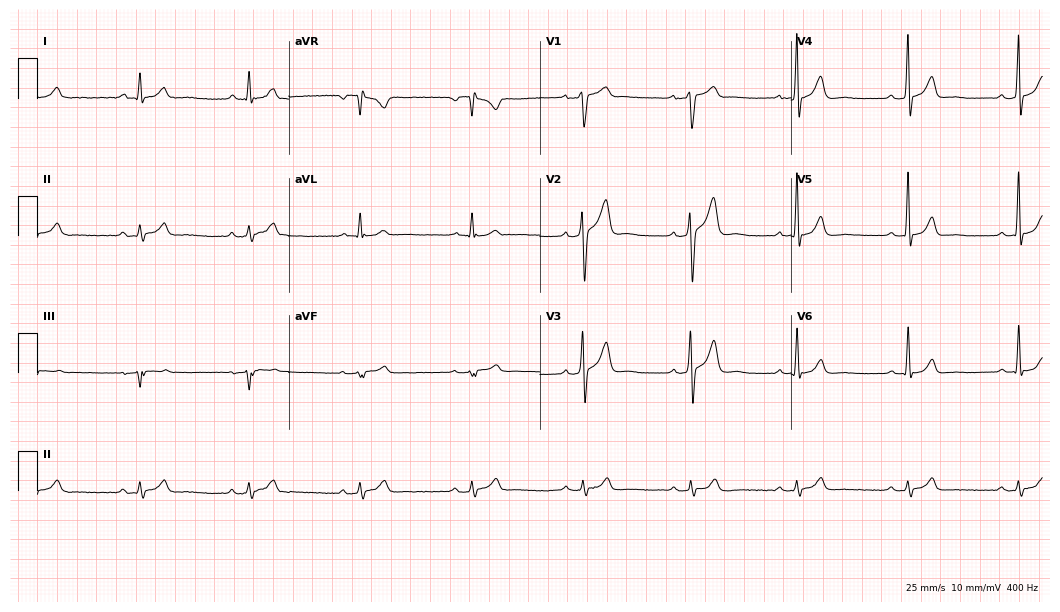
12-lead ECG from a 39-year-old man. Labelled as a normal ECG.